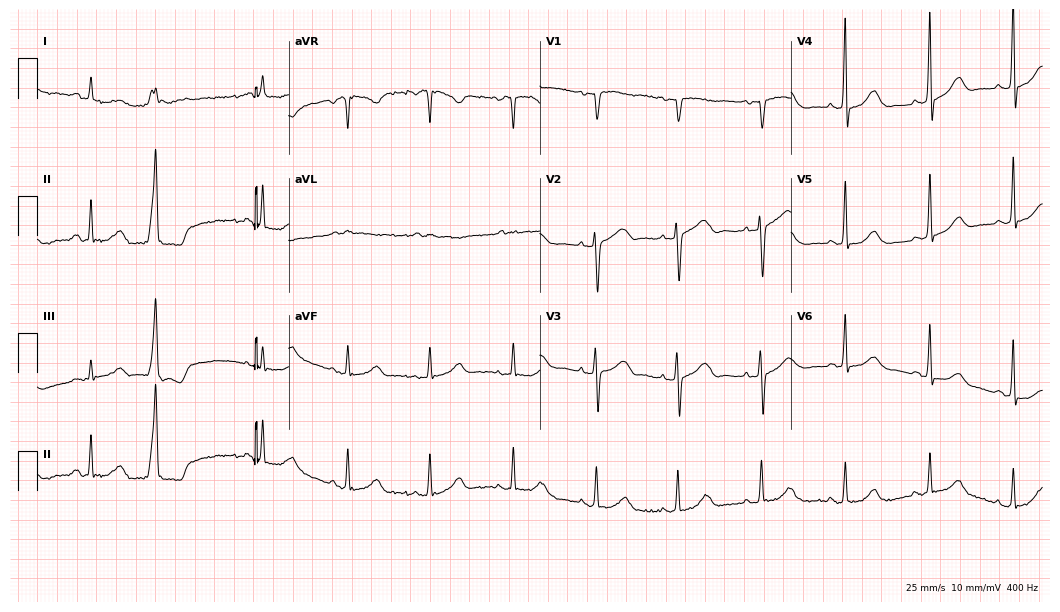
Resting 12-lead electrocardiogram (10.2-second recording at 400 Hz). Patient: an 81-year-old female. None of these six findings is recorded: first-degree AV block, right bundle branch block, left bundle branch block, sinus bradycardia, atrial fibrillation, sinus tachycardia.